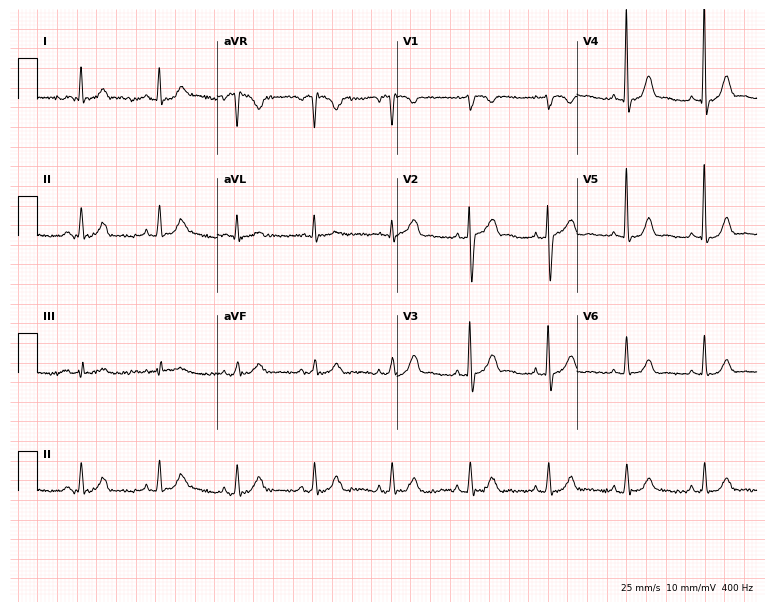
12-lead ECG (7.3-second recording at 400 Hz) from a man, 73 years old. Screened for six findings — first-degree AV block, right bundle branch block, left bundle branch block, sinus bradycardia, atrial fibrillation, sinus tachycardia — none is recorded.